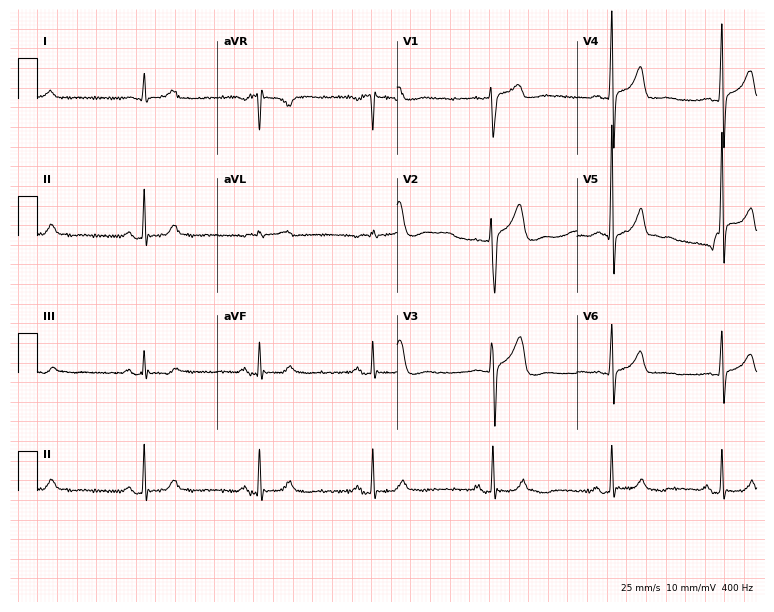
Resting 12-lead electrocardiogram (7.3-second recording at 400 Hz). Patient: a 46-year-old male. None of these six findings is recorded: first-degree AV block, right bundle branch block (RBBB), left bundle branch block (LBBB), sinus bradycardia, atrial fibrillation (AF), sinus tachycardia. Other findings, if any, are not listed.